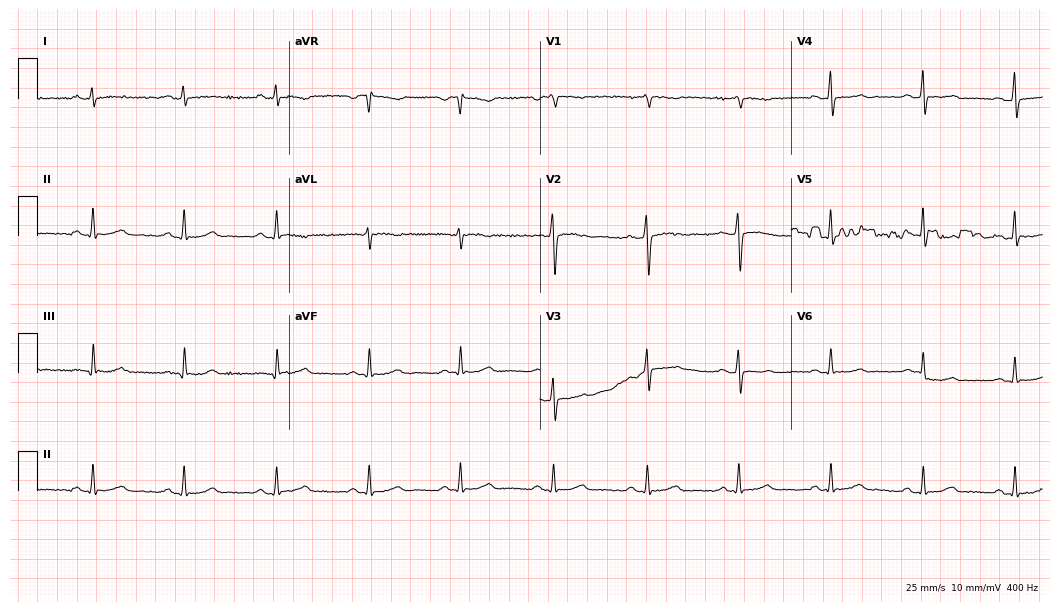
12-lead ECG (10.2-second recording at 400 Hz) from a female patient, 53 years old. Labelled as a normal ECG.